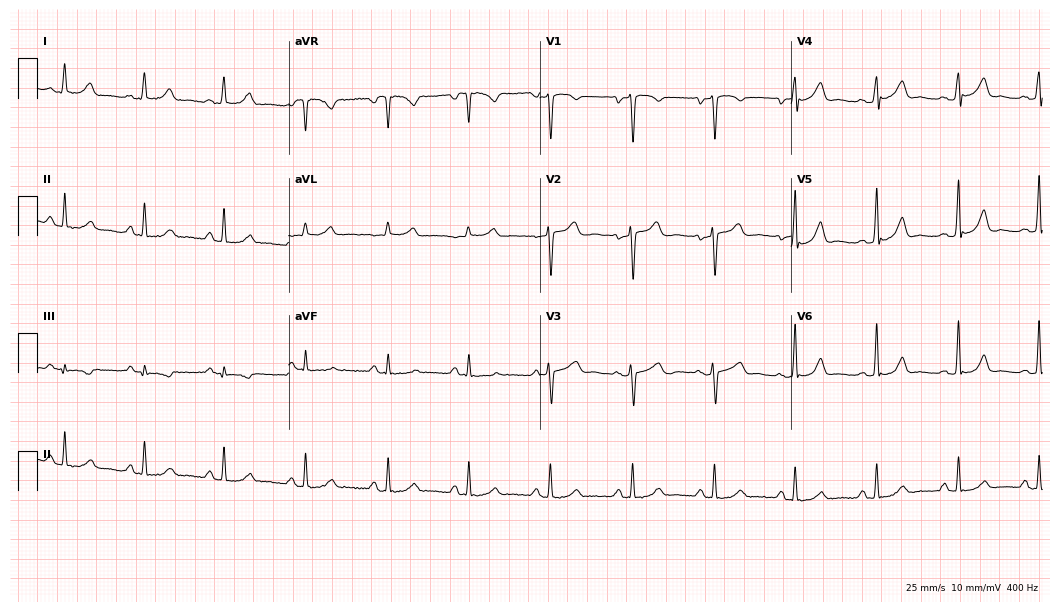
12-lead ECG (10.2-second recording at 400 Hz) from a 46-year-old female. Screened for six findings — first-degree AV block, right bundle branch block, left bundle branch block, sinus bradycardia, atrial fibrillation, sinus tachycardia — none is recorded.